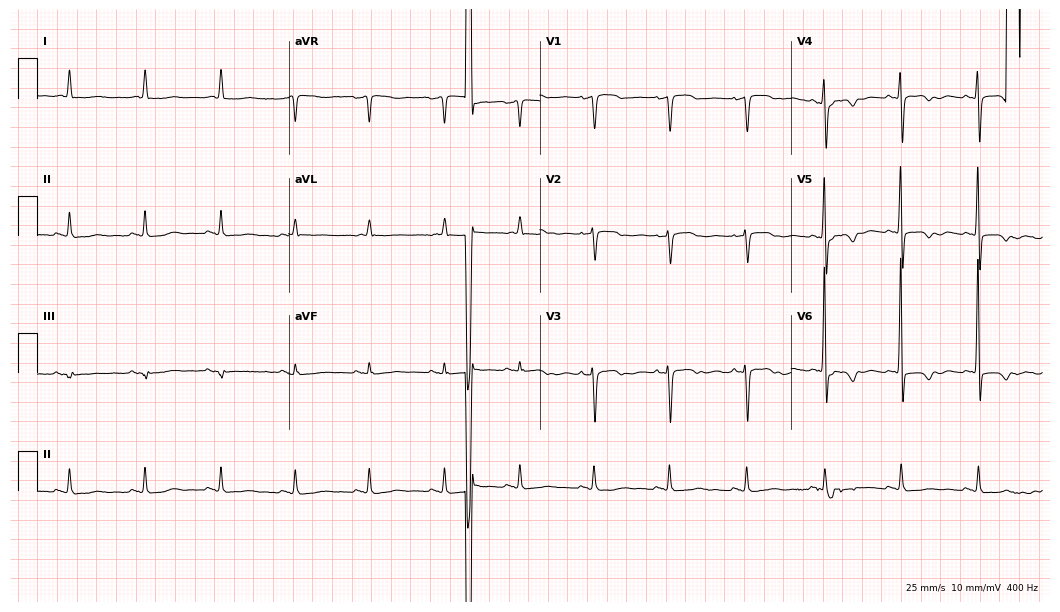
Resting 12-lead electrocardiogram. Patient: an 80-year-old female. None of these six findings is recorded: first-degree AV block, right bundle branch block, left bundle branch block, sinus bradycardia, atrial fibrillation, sinus tachycardia.